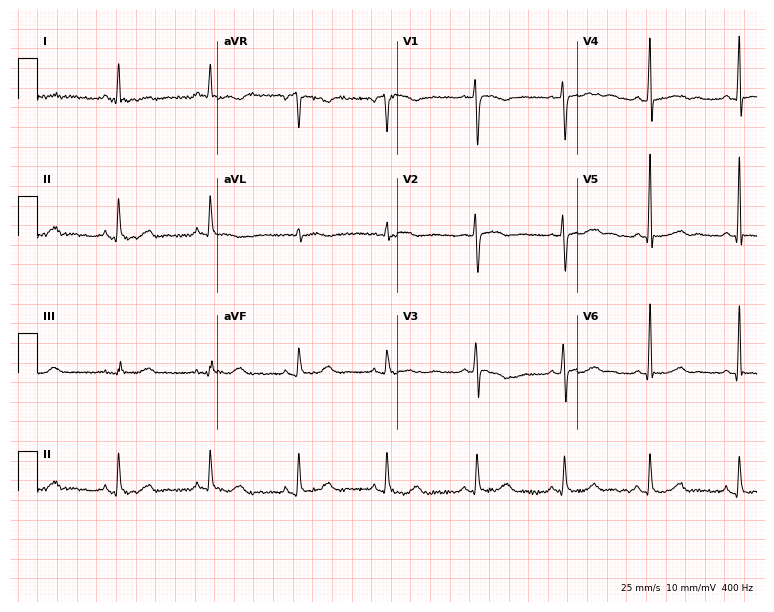
Electrocardiogram, a 62-year-old woman. Of the six screened findings (first-degree AV block, right bundle branch block (RBBB), left bundle branch block (LBBB), sinus bradycardia, atrial fibrillation (AF), sinus tachycardia), none is recorded.